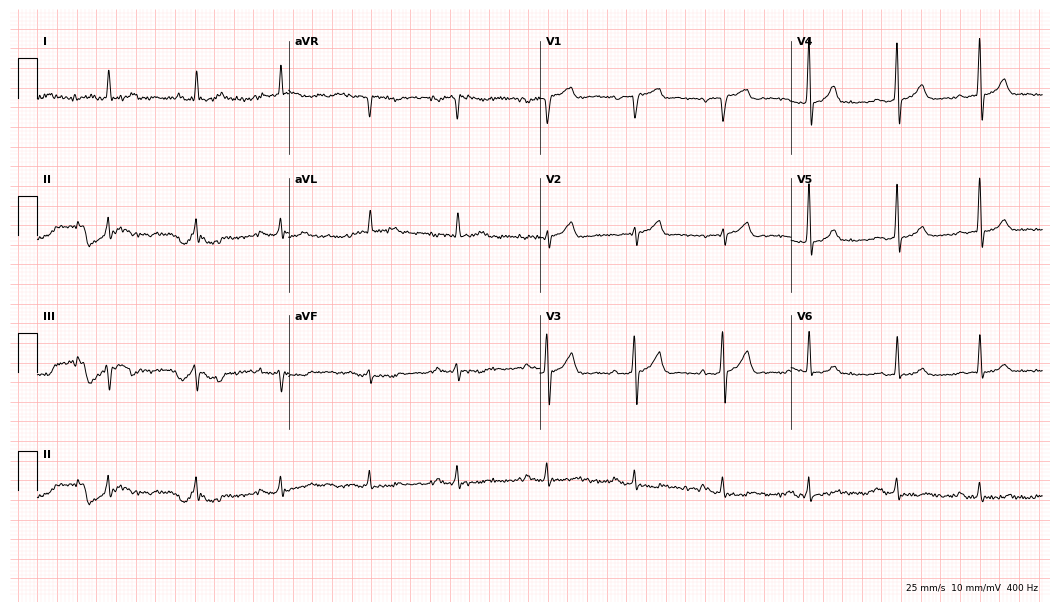
Resting 12-lead electrocardiogram. Patient: a male, 72 years old. None of these six findings is recorded: first-degree AV block, right bundle branch block (RBBB), left bundle branch block (LBBB), sinus bradycardia, atrial fibrillation (AF), sinus tachycardia. Only these six findings were labelled.